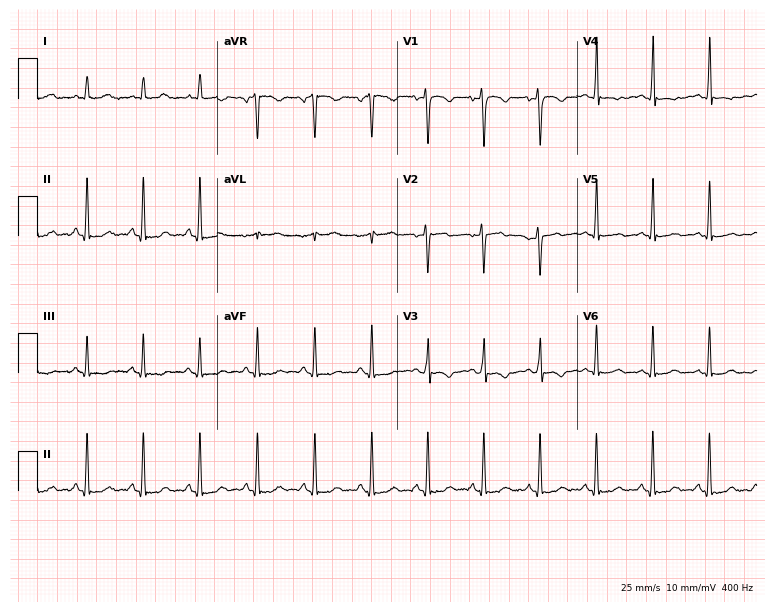
ECG — a 24-year-old woman. Findings include sinus tachycardia (a sinus rate of 100 beats per minute or more).